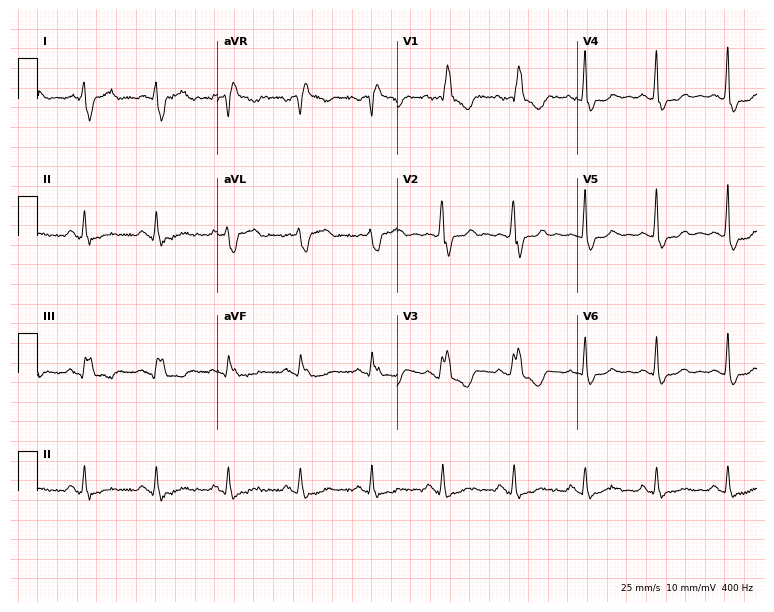
12-lead ECG from a man, 79 years old. Screened for six findings — first-degree AV block, right bundle branch block, left bundle branch block, sinus bradycardia, atrial fibrillation, sinus tachycardia — none is recorded.